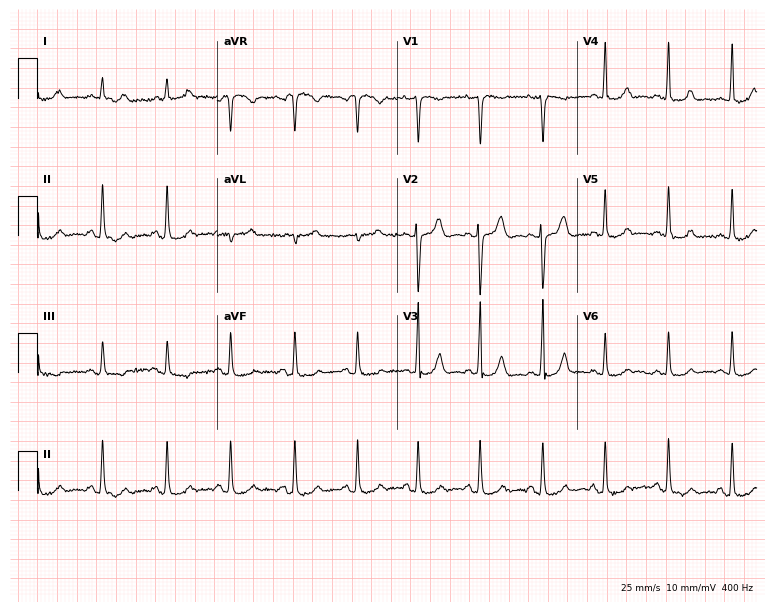
12-lead ECG from a female patient, 30 years old. Recorded interpretation: within normal limits.